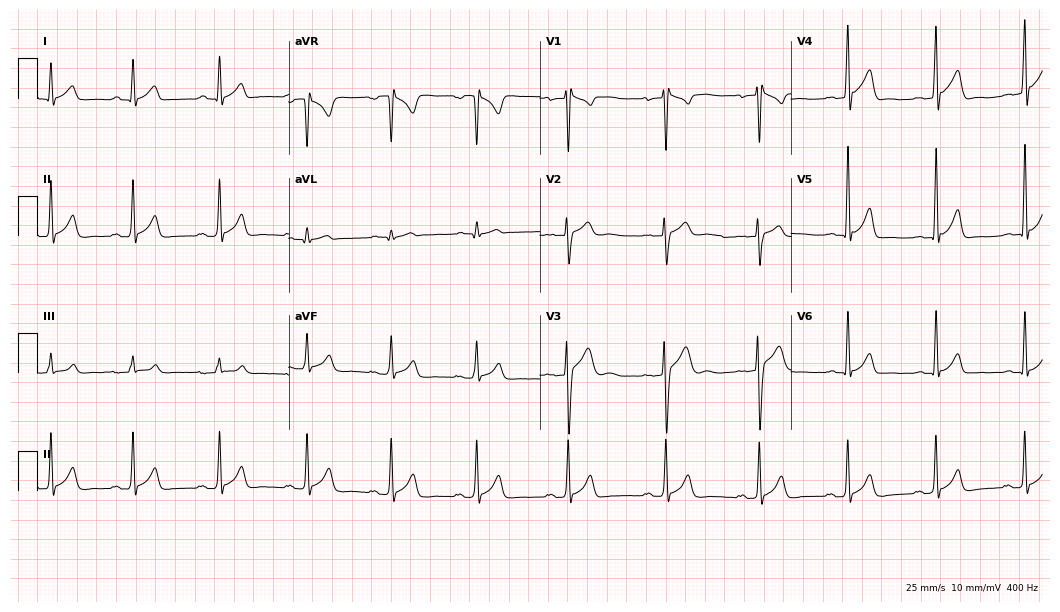
12-lead ECG (10.2-second recording at 400 Hz) from a 17-year-old male patient. Labelled as a normal ECG.